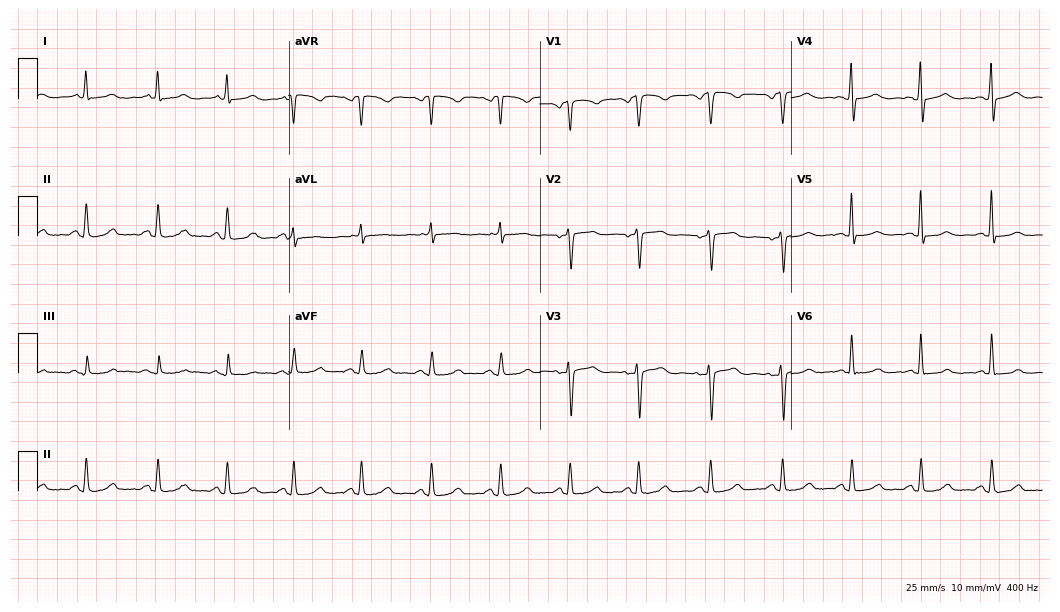
12-lead ECG (10.2-second recording at 400 Hz) from a woman, 49 years old. Screened for six findings — first-degree AV block, right bundle branch block, left bundle branch block, sinus bradycardia, atrial fibrillation, sinus tachycardia — none is recorded.